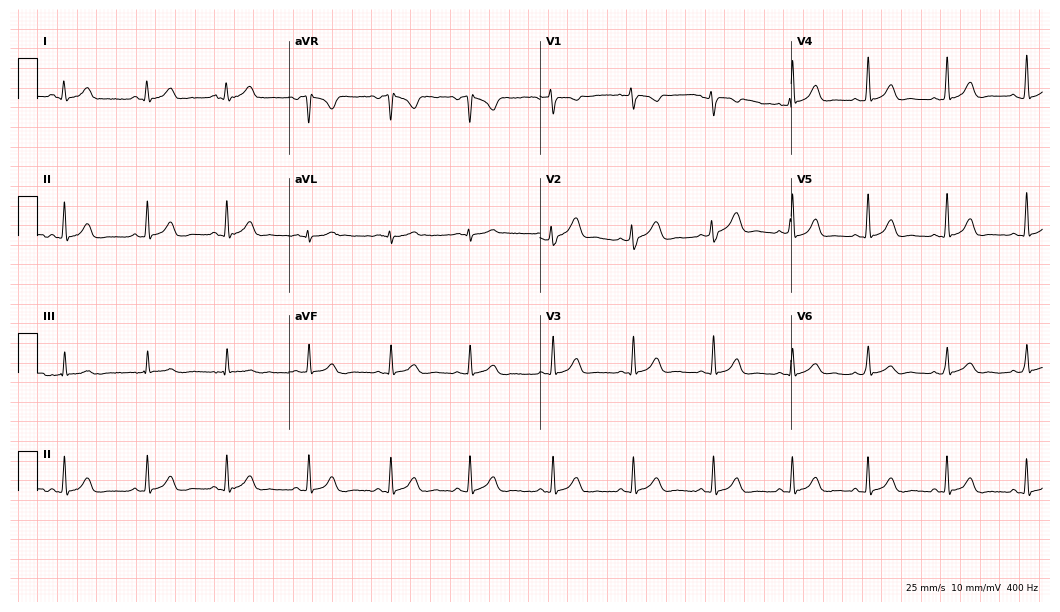
Standard 12-lead ECG recorded from a female, 23 years old. Read as a normal ECG.